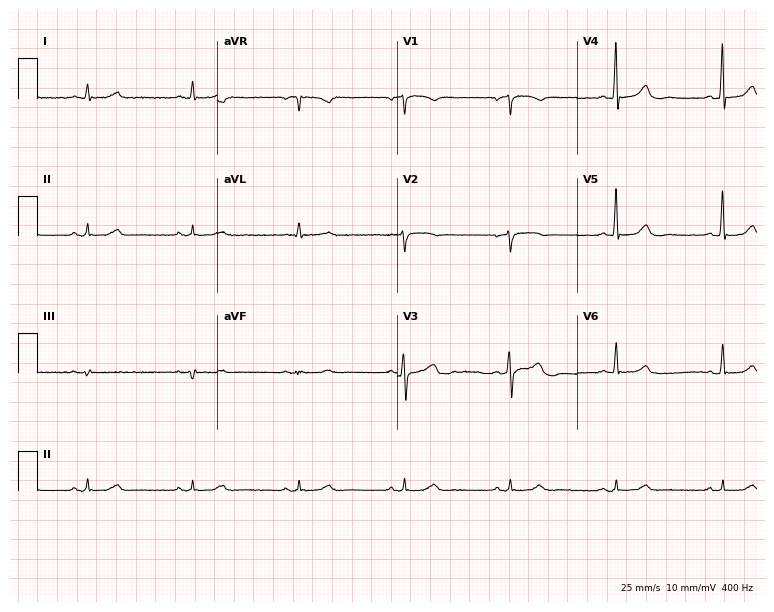
ECG (7.3-second recording at 400 Hz) — a man, 70 years old. Labelled as a normal ECG.